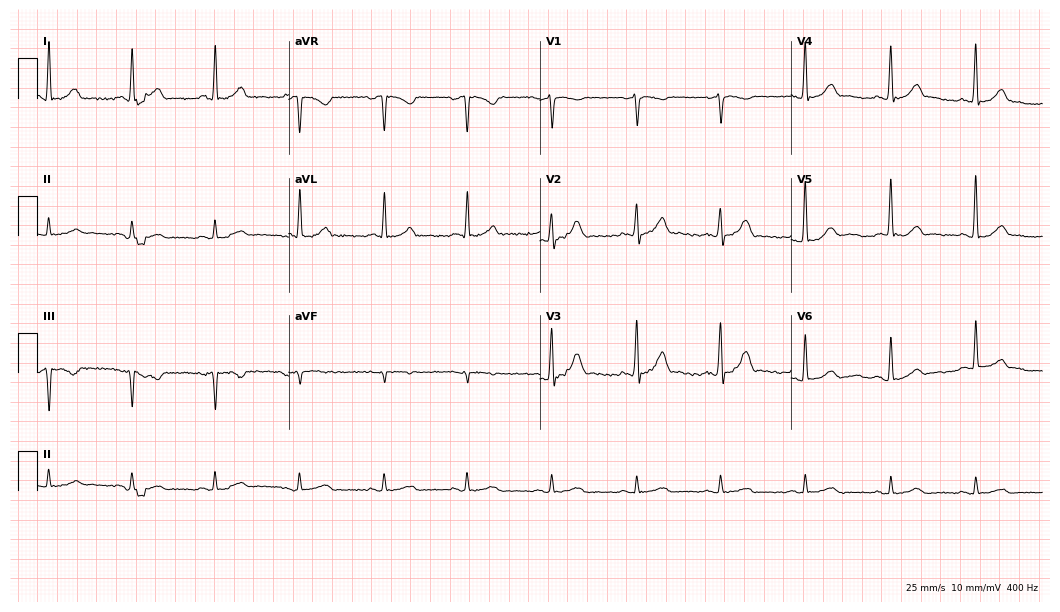
12-lead ECG (10.2-second recording at 400 Hz) from a 49-year-old male patient. Screened for six findings — first-degree AV block, right bundle branch block (RBBB), left bundle branch block (LBBB), sinus bradycardia, atrial fibrillation (AF), sinus tachycardia — none is recorded. Only these six findings were labelled.